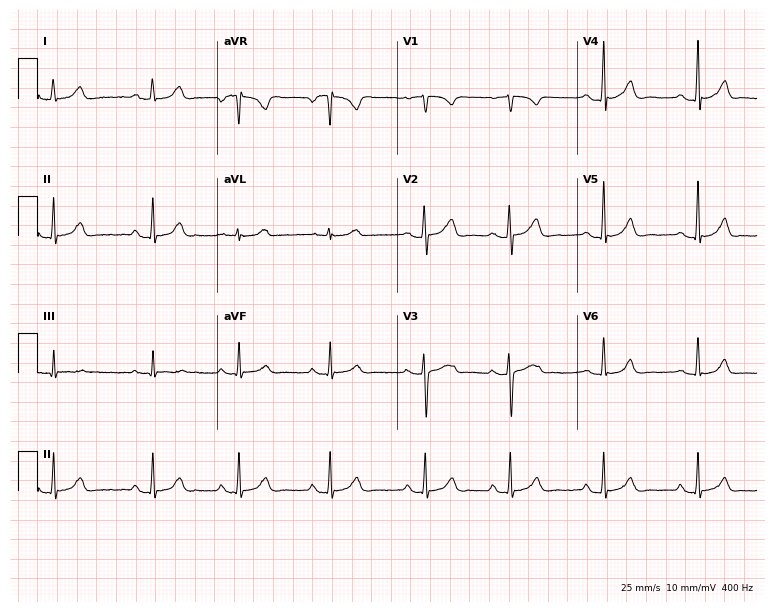
Standard 12-lead ECG recorded from a 17-year-old woman (7.3-second recording at 400 Hz). Read as a normal ECG.